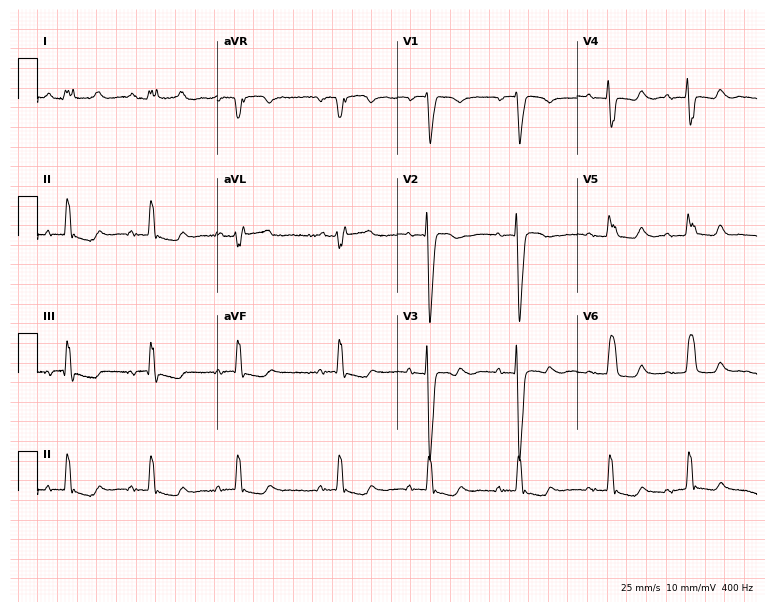
Resting 12-lead electrocardiogram (7.3-second recording at 400 Hz). Patient: a female, 82 years old. The tracing shows left bundle branch block (LBBB).